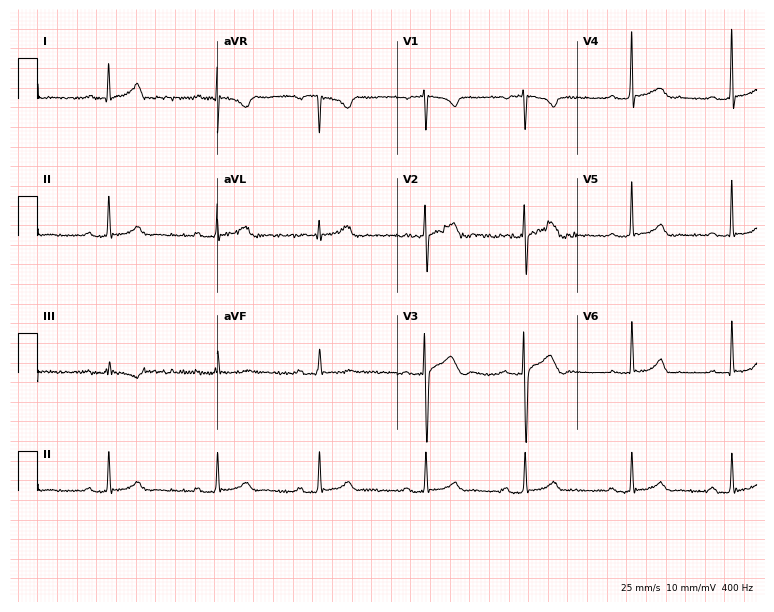
Standard 12-lead ECG recorded from a 25-year-old male. None of these six findings is recorded: first-degree AV block, right bundle branch block, left bundle branch block, sinus bradycardia, atrial fibrillation, sinus tachycardia. Findings outside these six are not listed.